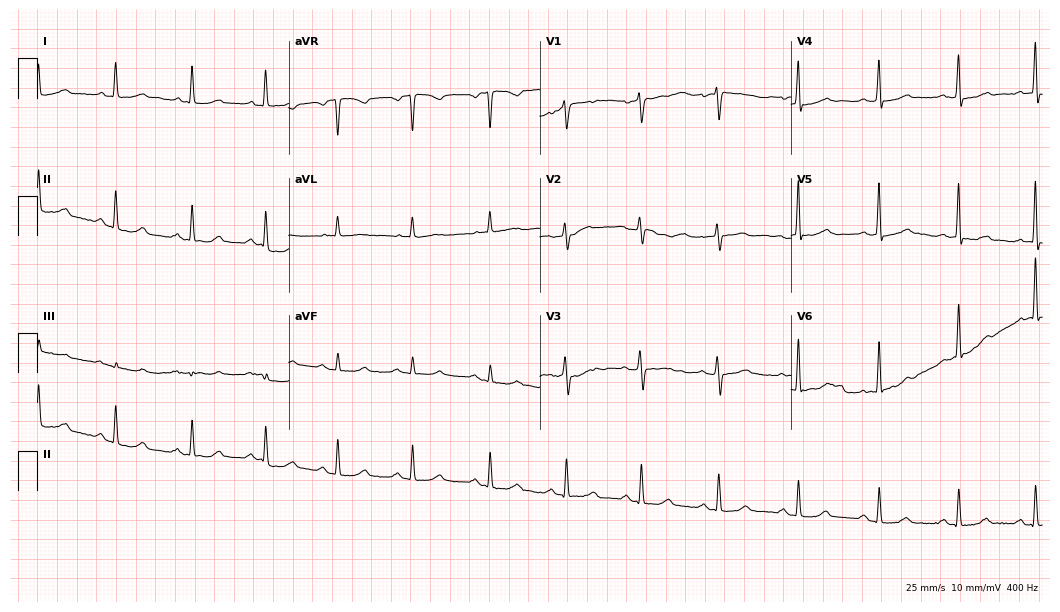
12-lead ECG from a 65-year-old female patient. No first-degree AV block, right bundle branch block, left bundle branch block, sinus bradycardia, atrial fibrillation or sinus tachycardia recorded for this tracing. Findings outside these six are not listed.